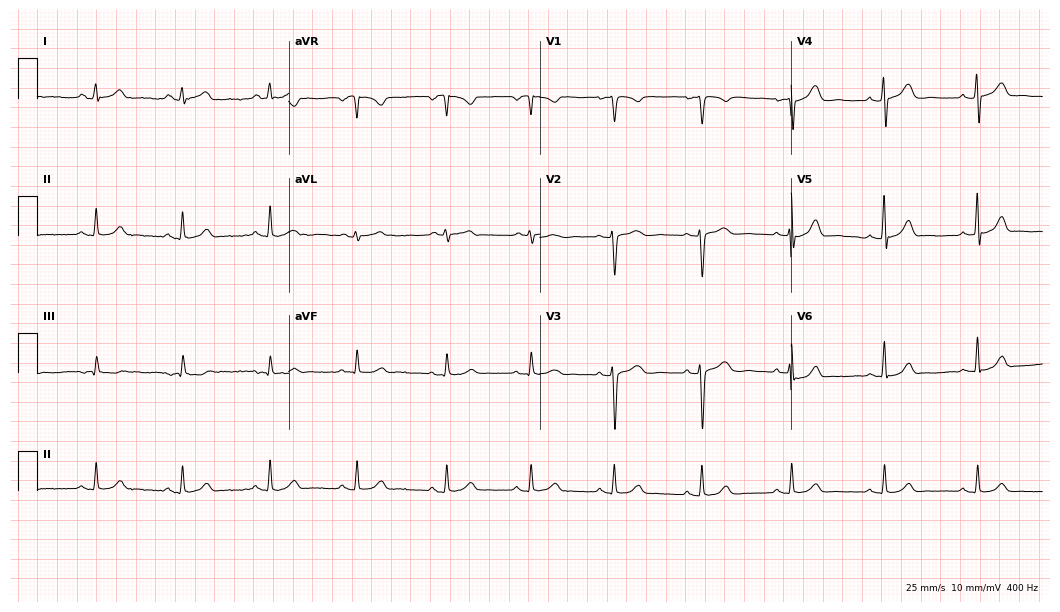
12-lead ECG from a 28-year-old woman. Recorded interpretation: within normal limits.